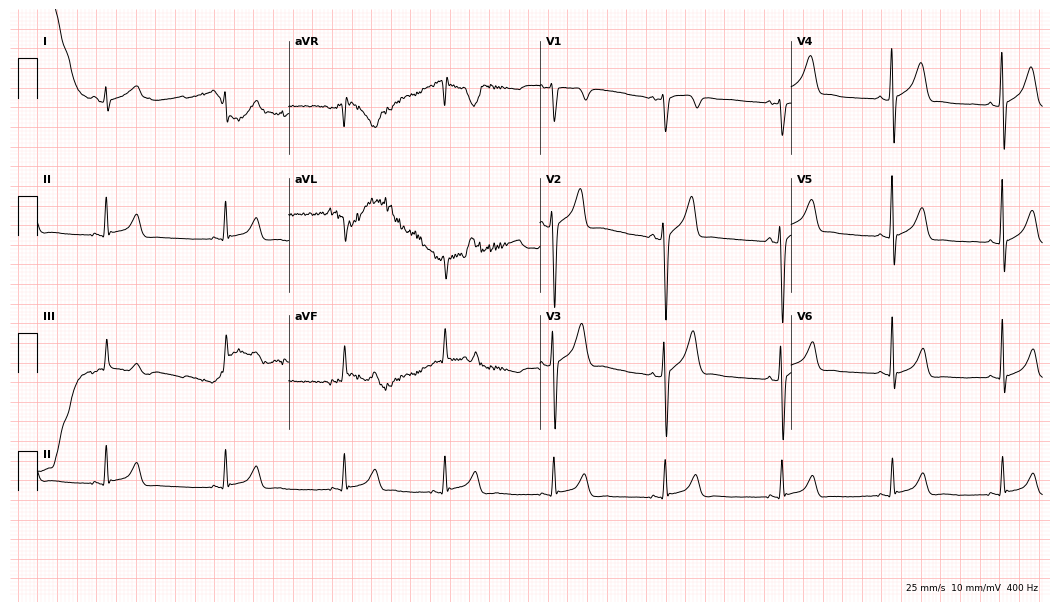
ECG (10.2-second recording at 400 Hz) — a 34-year-old male patient. Screened for six findings — first-degree AV block, right bundle branch block, left bundle branch block, sinus bradycardia, atrial fibrillation, sinus tachycardia — none is recorded.